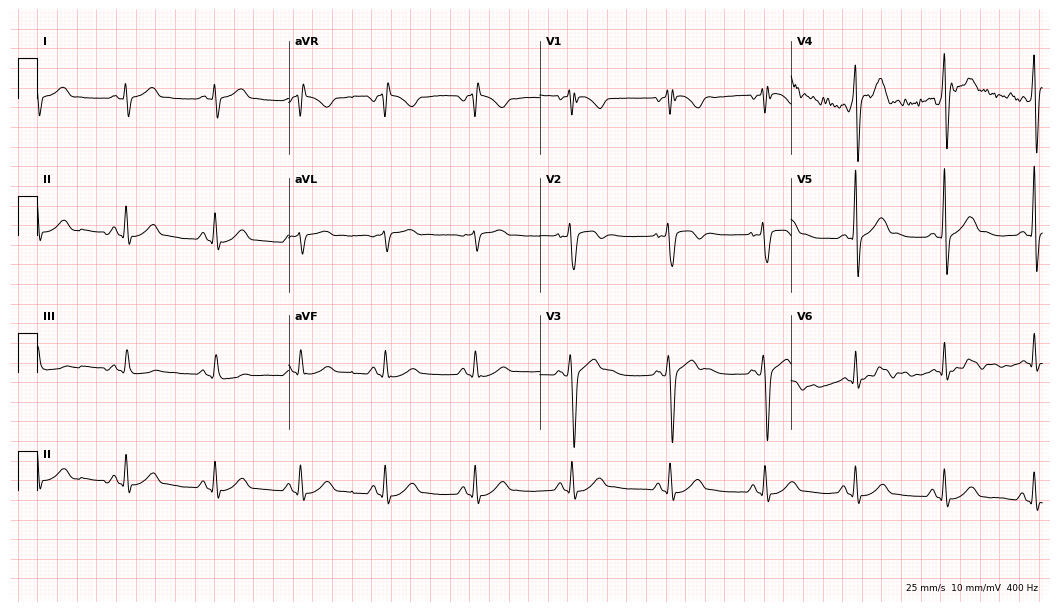
Electrocardiogram (10.2-second recording at 400 Hz), a 40-year-old male patient. Of the six screened findings (first-degree AV block, right bundle branch block (RBBB), left bundle branch block (LBBB), sinus bradycardia, atrial fibrillation (AF), sinus tachycardia), none is recorded.